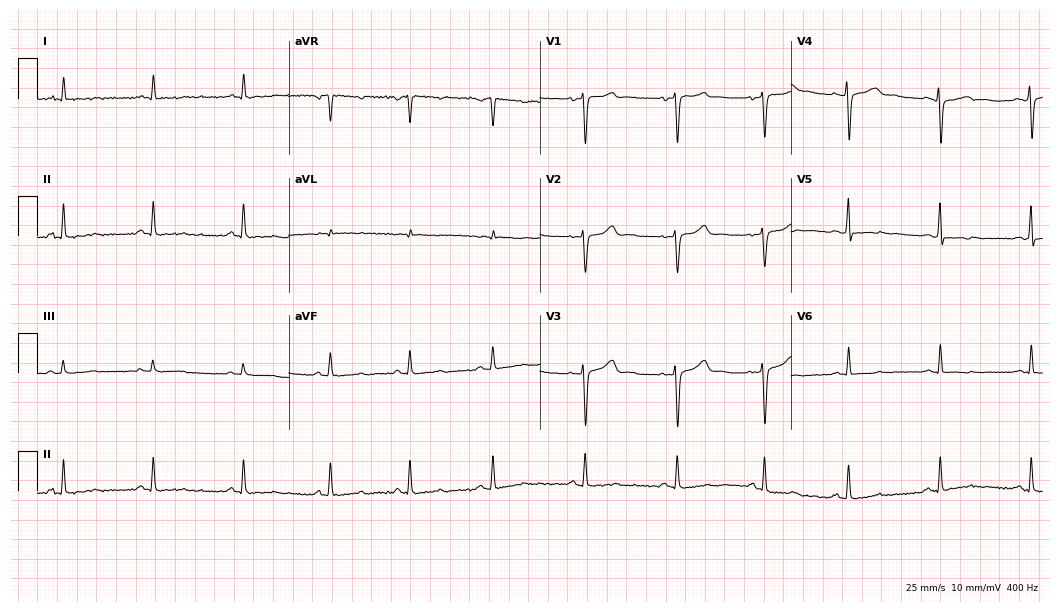
Electrocardiogram, a woman, 33 years old. Of the six screened findings (first-degree AV block, right bundle branch block, left bundle branch block, sinus bradycardia, atrial fibrillation, sinus tachycardia), none is recorded.